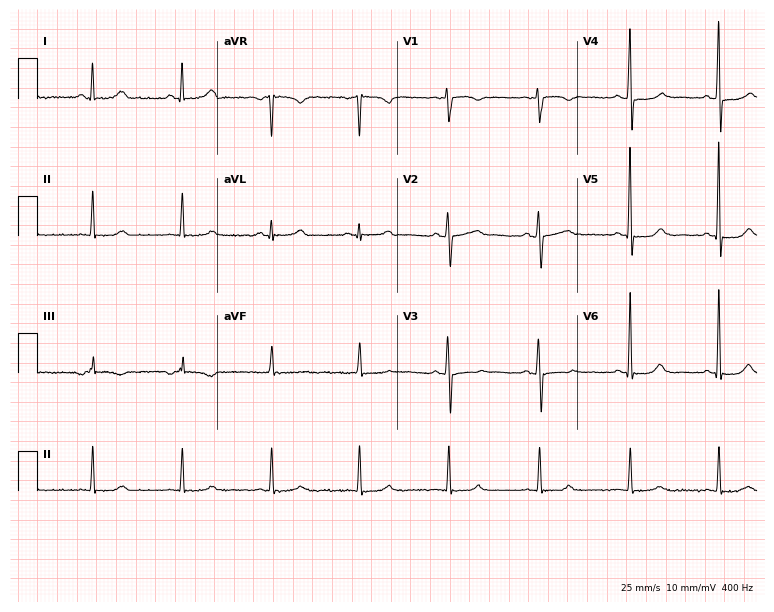
Resting 12-lead electrocardiogram. Patient: a 62-year-old male. Read as a normal ECG.